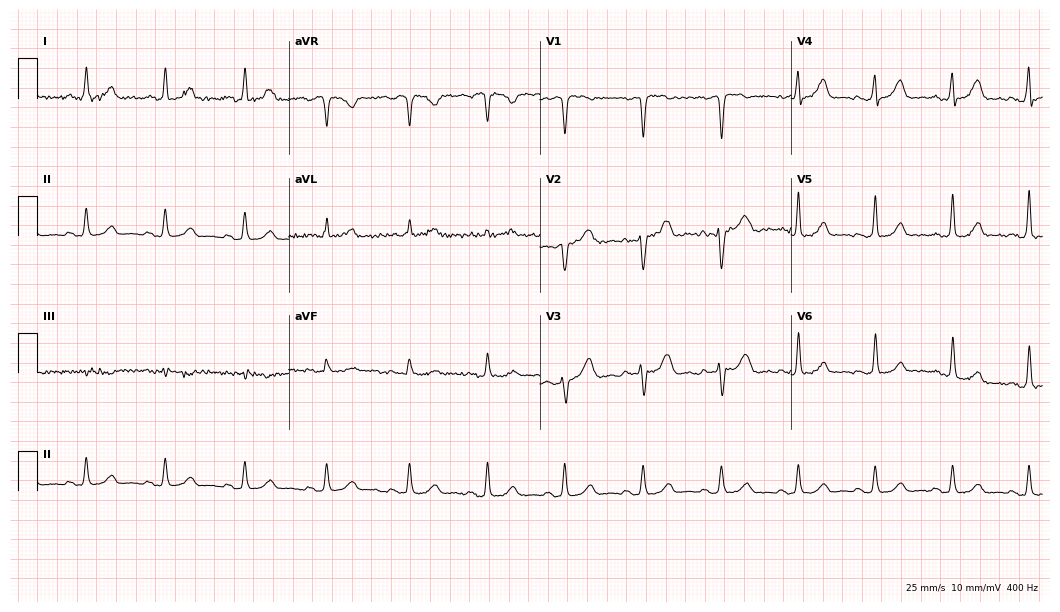
12-lead ECG (10.2-second recording at 400 Hz) from a 54-year-old woman. Labelled as a normal ECG.